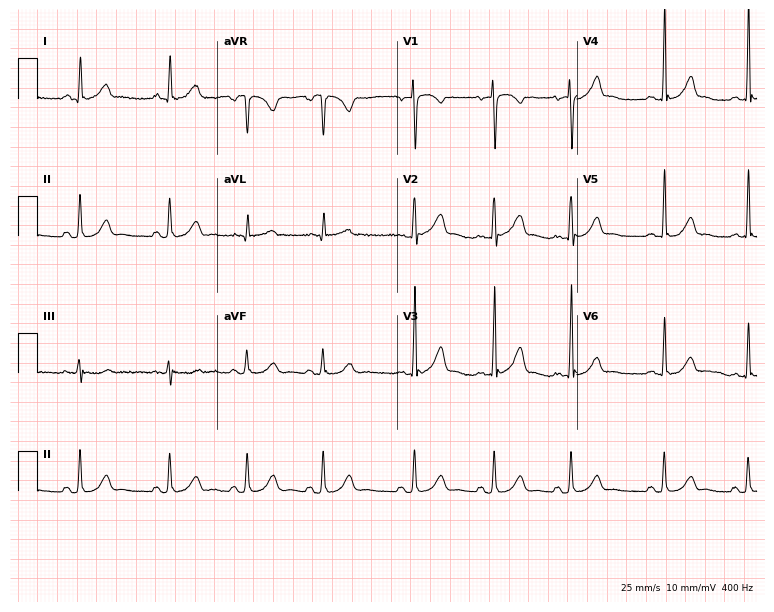
ECG (7.3-second recording at 400 Hz) — a 38-year-old female patient. Labelled as a normal ECG.